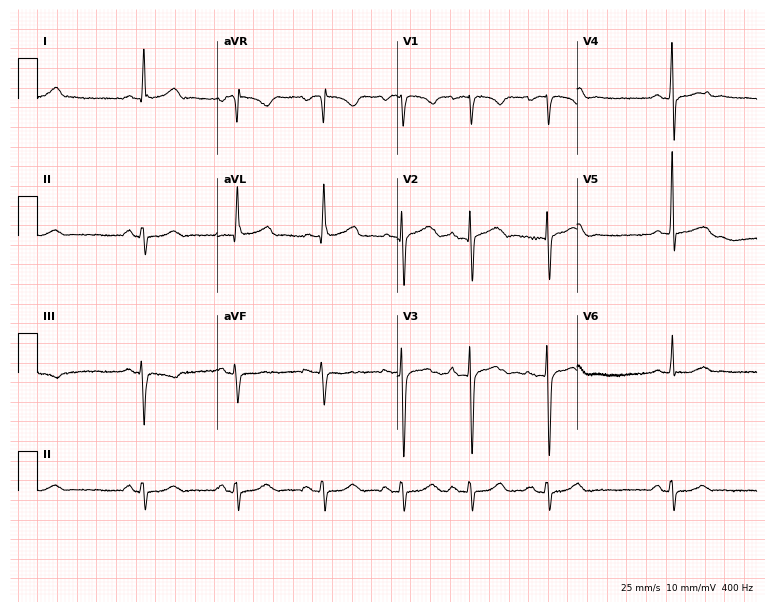
ECG (7.3-second recording at 400 Hz) — a woman, 65 years old. Screened for six findings — first-degree AV block, right bundle branch block, left bundle branch block, sinus bradycardia, atrial fibrillation, sinus tachycardia — none is recorded.